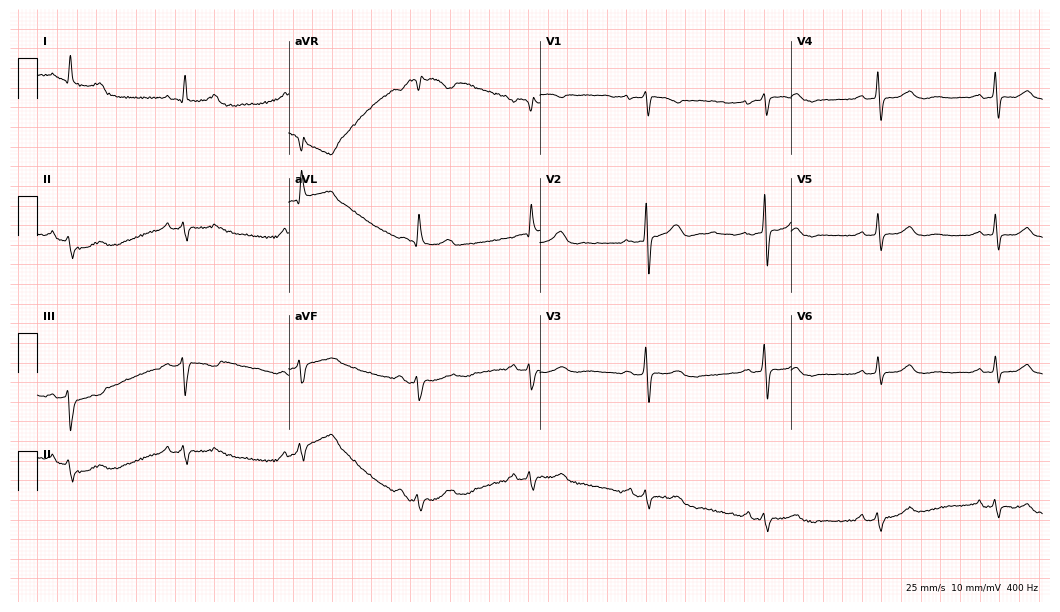
Resting 12-lead electrocardiogram. Patient: a female, 60 years old. None of these six findings is recorded: first-degree AV block, right bundle branch block, left bundle branch block, sinus bradycardia, atrial fibrillation, sinus tachycardia. Only these six findings were labelled.